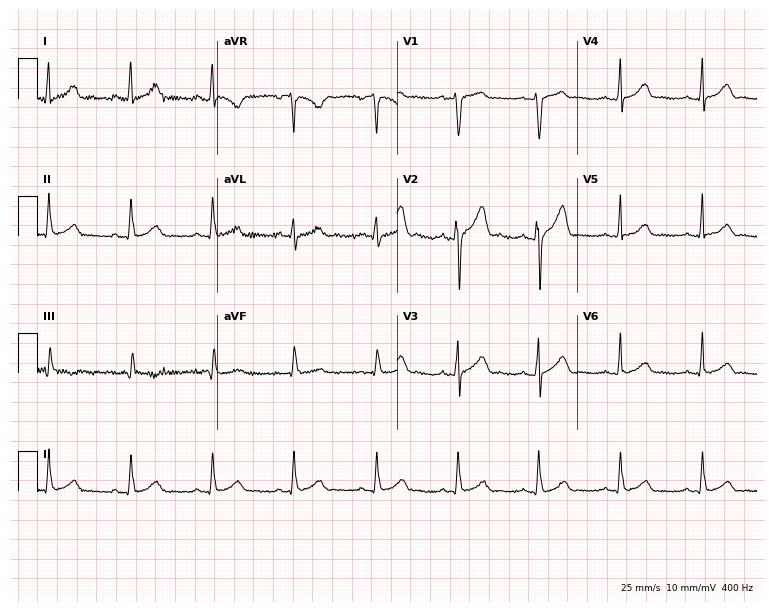
Electrocardiogram (7.3-second recording at 400 Hz), a 25-year-old male patient. Of the six screened findings (first-degree AV block, right bundle branch block, left bundle branch block, sinus bradycardia, atrial fibrillation, sinus tachycardia), none is recorded.